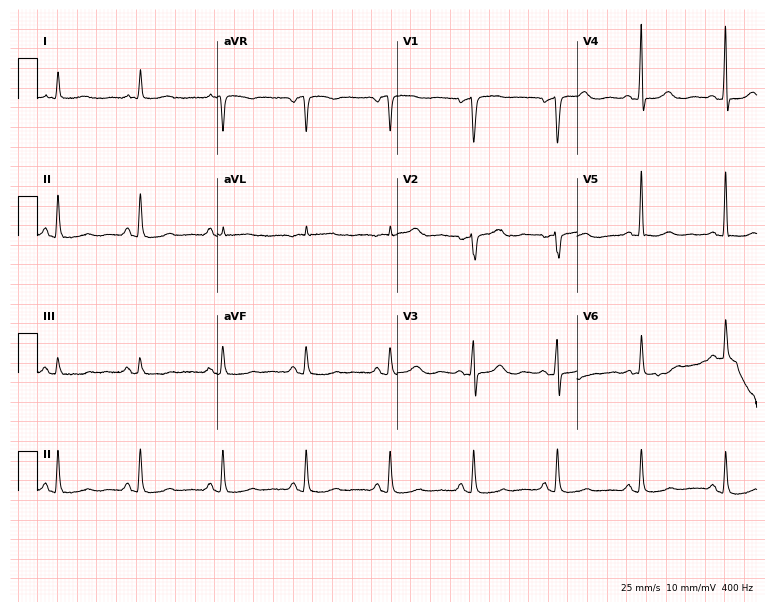
Standard 12-lead ECG recorded from an 83-year-old female patient (7.3-second recording at 400 Hz). None of these six findings is recorded: first-degree AV block, right bundle branch block, left bundle branch block, sinus bradycardia, atrial fibrillation, sinus tachycardia.